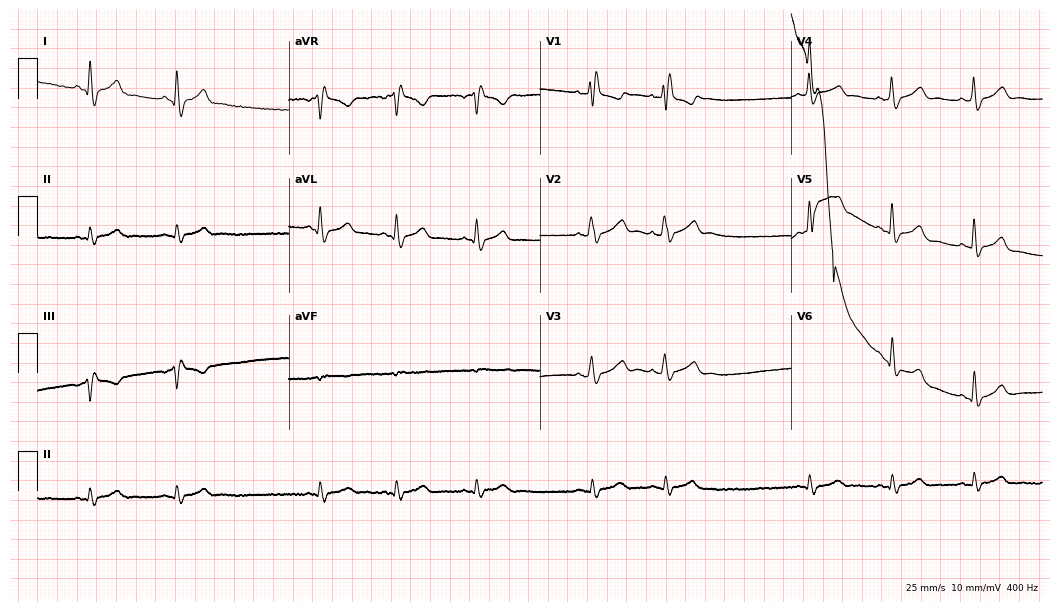
Resting 12-lead electrocardiogram (10.2-second recording at 400 Hz). Patient: a 43-year-old man. The tracing shows right bundle branch block (RBBB).